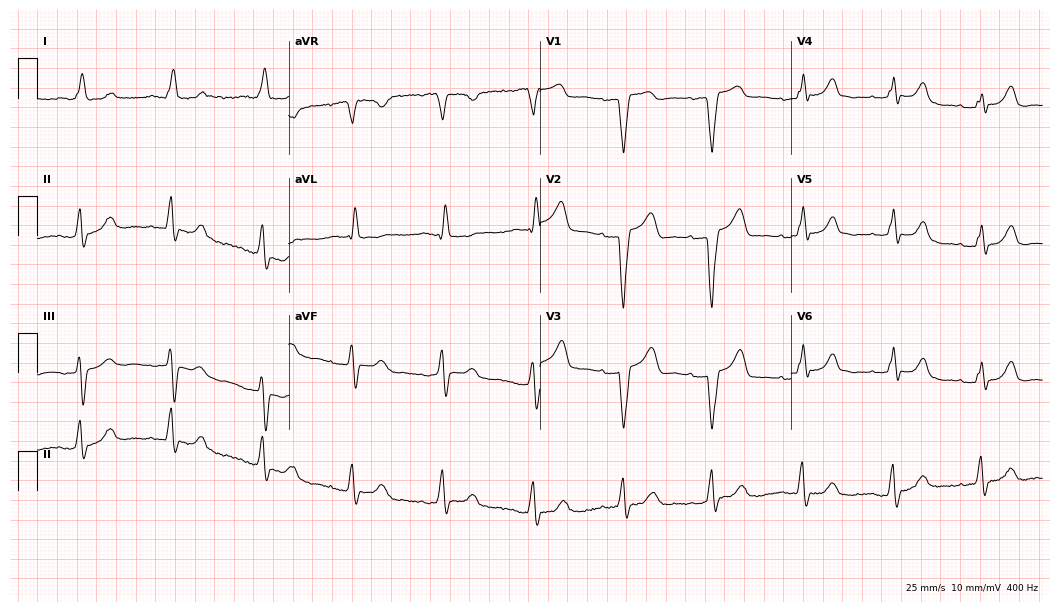
12-lead ECG from a female patient, 82 years old (10.2-second recording at 400 Hz). Shows left bundle branch block.